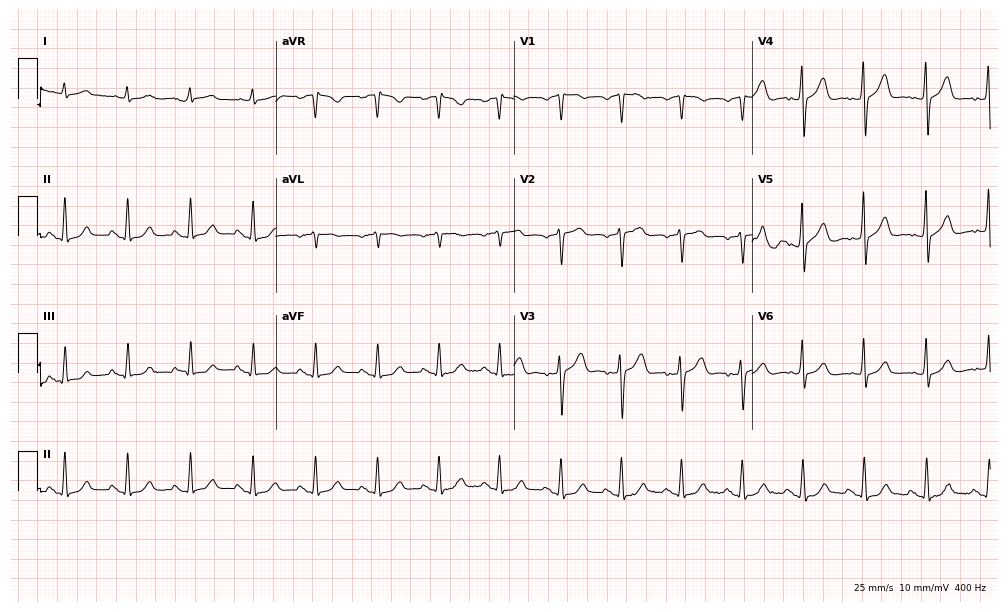
ECG (9.7-second recording at 400 Hz) — a 76-year-old male patient. Screened for six findings — first-degree AV block, right bundle branch block (RBBB), left bundle branch block (LBBB), sinus bradycardia, atrial fibrillation (AF), sinus tachycardia — none is recorded.